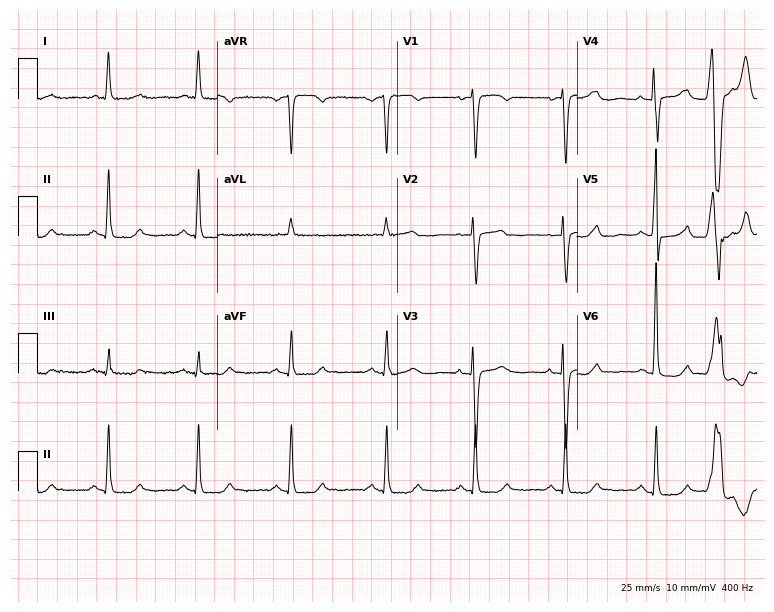
12-lead ECG from a 77-year-old woman (7.3-second recording at 400 Hz). No first-degree AV block, right bundle branch block (RBBB), left bundle branch block (LBBB), sinus bradycardia, atrial fibrillation (AF) or sinus tachycardia recorded for this tracing. Other findings, if any, are not listed.